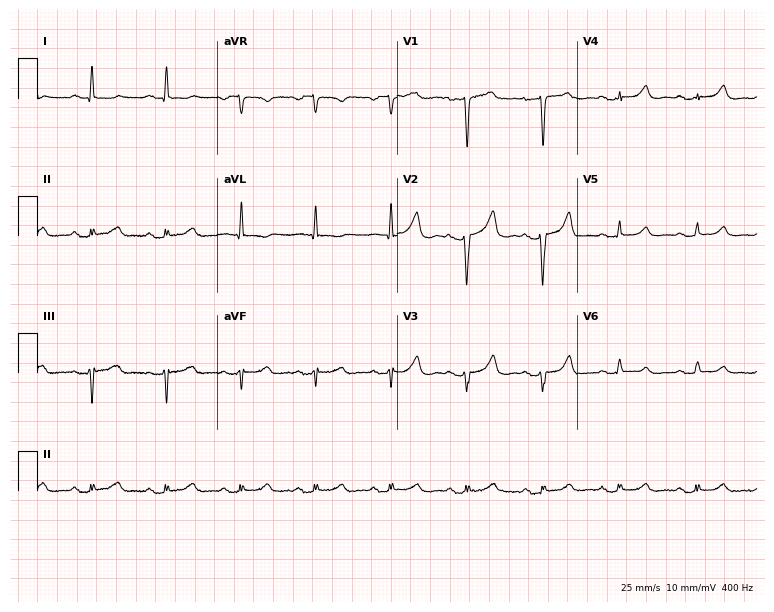
Electrocardiogram (7.3-second recording at 400 Hz), a 53-year-old woman. Of the six screened findings (first-degree AV block, right bundle branch block (RBBB), left bundle branch block (LBBB), sinus bradycardia, atrial fibrillation (AF), sinus tachycardia), none is recorded. Other findings, if any, are not listed.